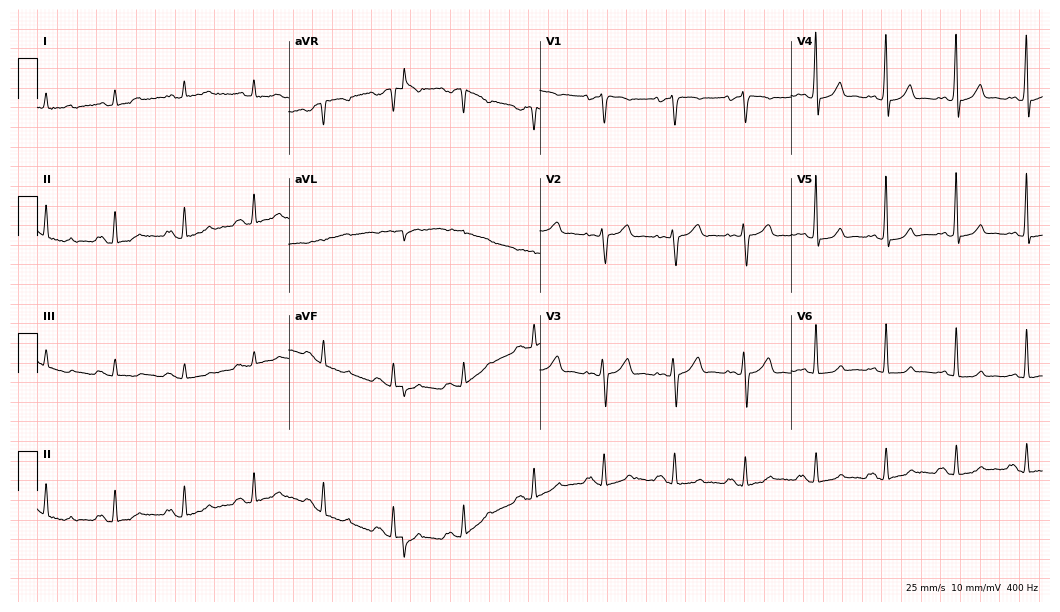
Standard 12-lead ECG recorded from a female, 55 years old. None of these six findings is recorded: first-degree AV block, right bundle branch block (RBBB), left bundle branch block (LBBB), sinus bradycardia, atrial fibrillation (AF), sinus tachycardia. Findings outside these six are not listed.